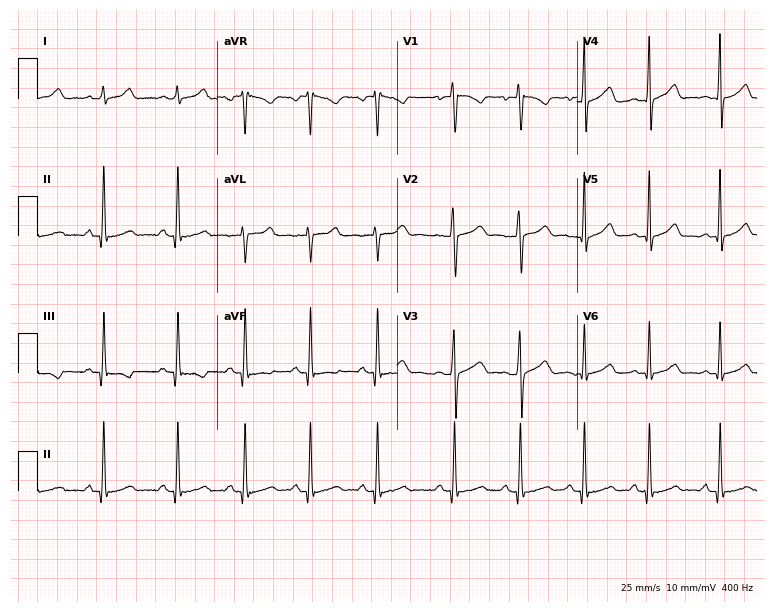
ECG (7.3-second recording at 400 Hz) — a woman, 18 years old. Screened for six findings — first-degree AV block, right bundle branch block, left bundle branch block, sinus bradycardia, atrial fibrillation, sinus tachycardia — none is recorded. Only these six findings were labelled.